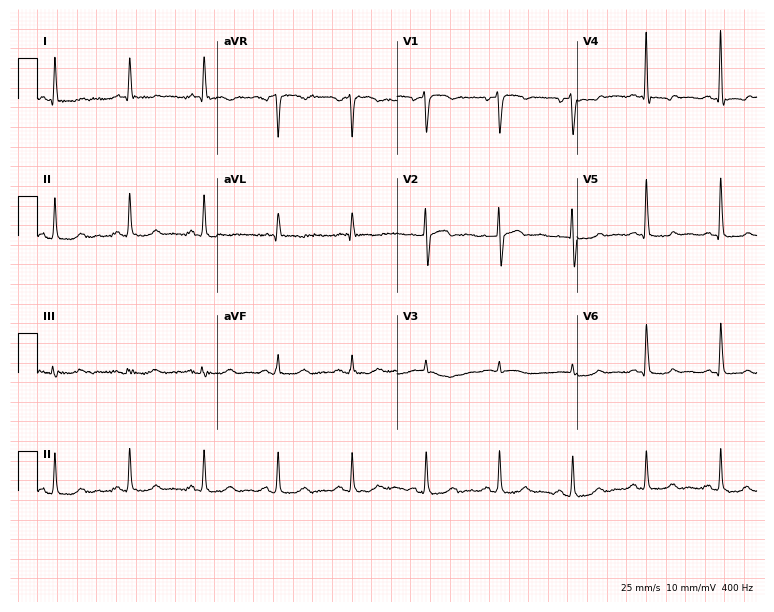
Resting 12-lead electrocardiogram (7.3-second recording at 400 Hz). Patient: a male, 60 years old. None of these six findings is recorded: first-degree AV block, right bundle branch block, left bundle branch block, sinus bradycardia, atrial fibrillation, sinus tachycardia. Only these six findings were labelled.